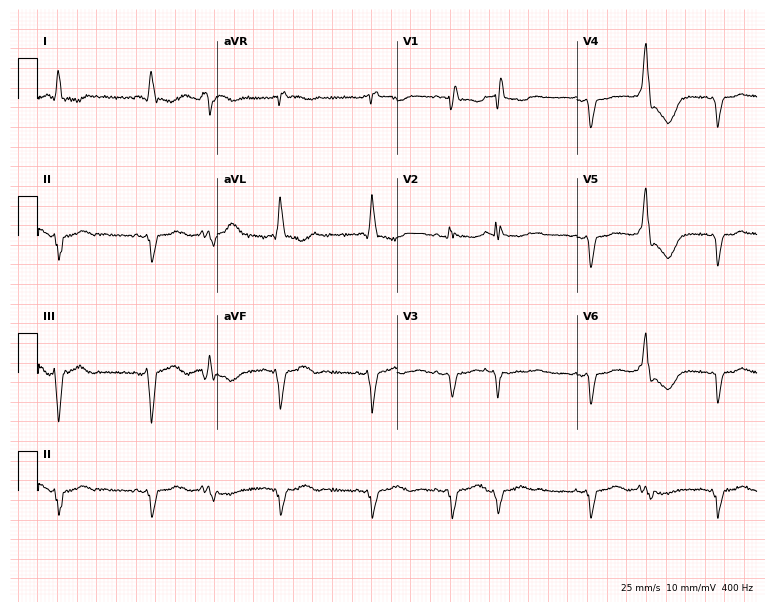
12-lead ECG from a 77-year-old female patient. Screened for six findings — first-degree AV block, right bundle branch block, left bundle branch block, sinus bradycardia, atrial fibrillation, sinus tachycardia — none is recorded. Findings outside these six are not listed.